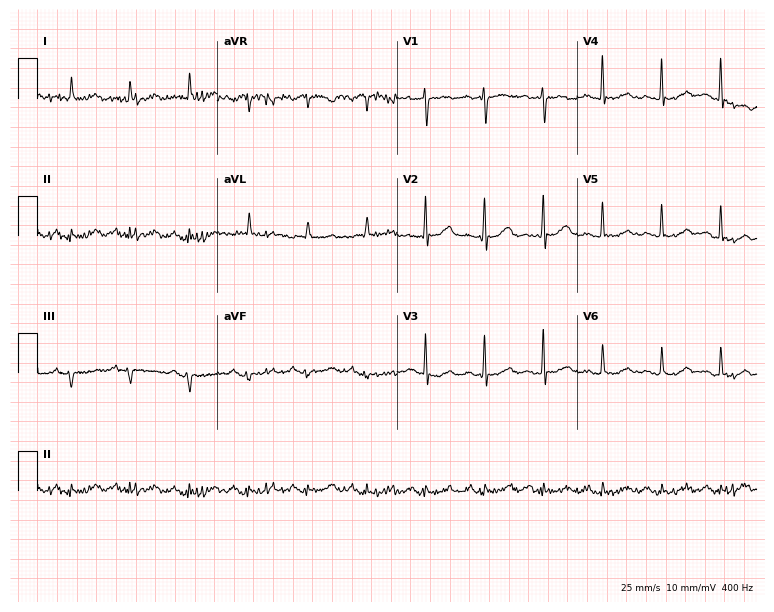
ECG (7.3-second recording at 400 Hz) — a male, 64 years old. Screened for six findings — first-degree AV block, right bundle branch block, left bundle branch block, sinus bradycardia, atrial fibrillation, sinus tachycardia — none is recorded. Only these six findings were labelled.